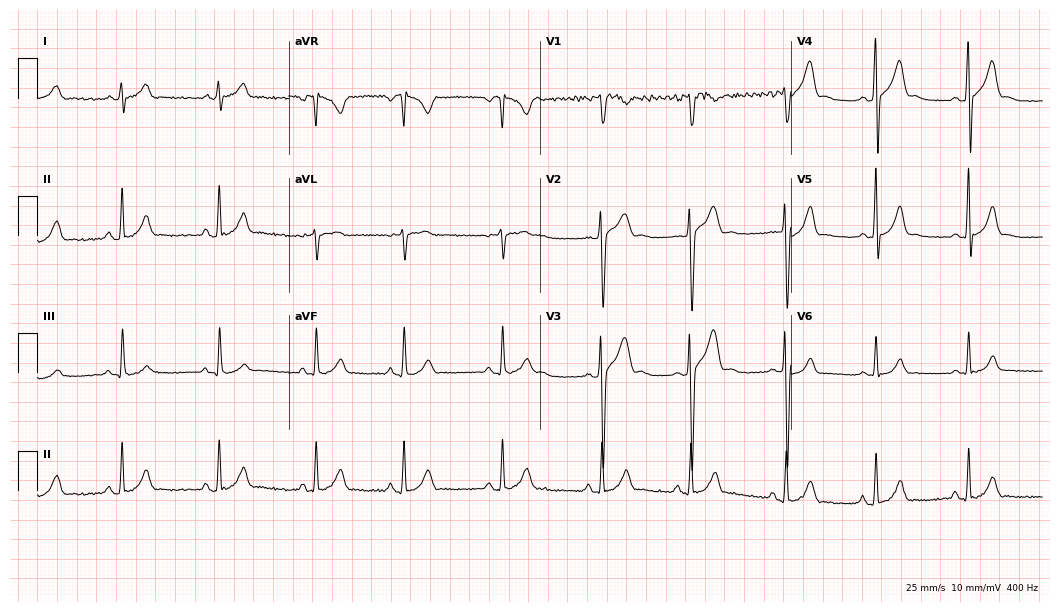
12-lead ECG from an 18-year-old male patient. Recorded interpretation: within normal limits.